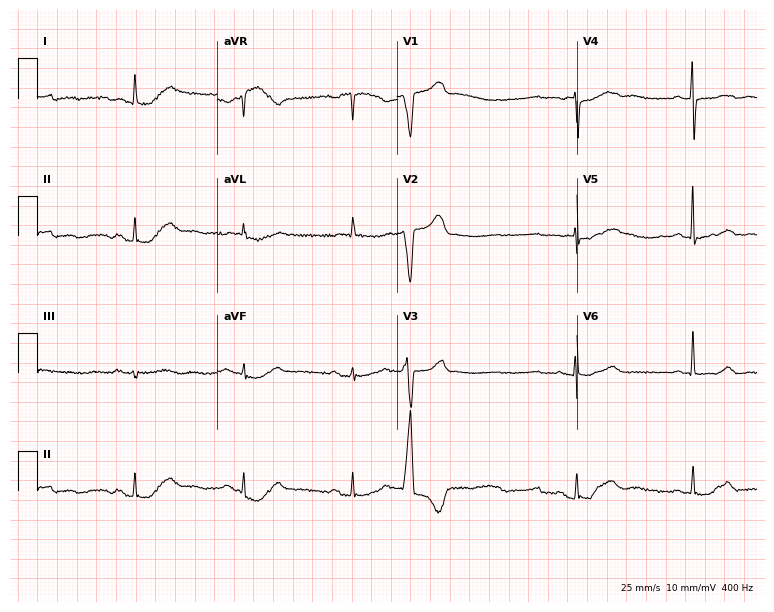
Resting 12-lead electrocardiogram. Patient: a 70-year-old female. None of these six findings is recorded: first-degree AV block, right bundle branch block, left bundle branch block, sinus bradycardia, atrial fibrillation, sinus tachycardia. Findings outside these six are not listed.